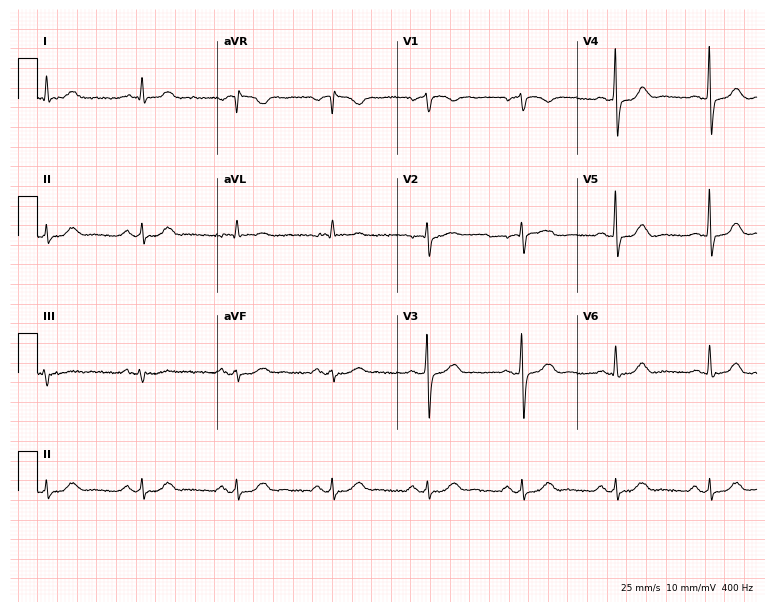
12-lead ECG from a male patient, 69 years old (7.3-second recording at 400 Hz). Recorded interpretation: within normal limits.